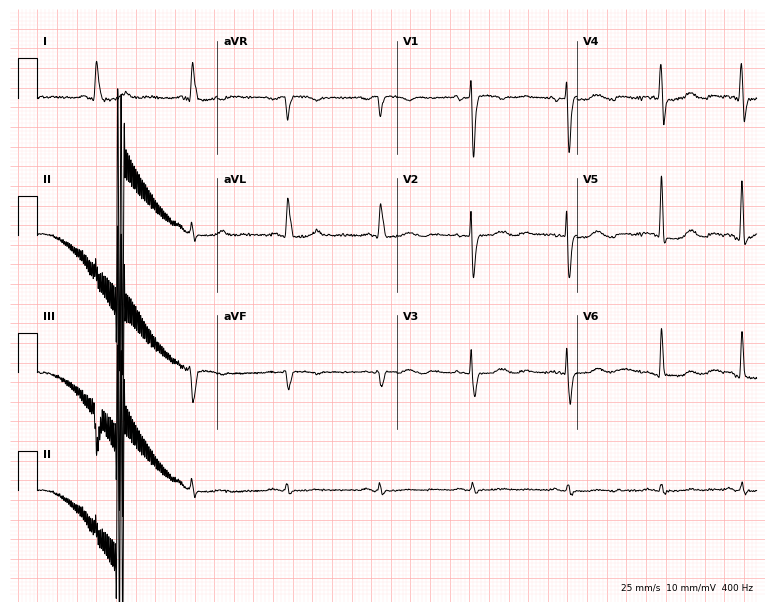
ECG (7.3-second recording at 400 Hz) — an 83-year-old woman. Screened for six findings — first-degree AV block, right bundle branch block (RBBB), left bundle branch block (LBBB), sinus bradycardia, atrial fibrillation (AF), sinus tachycardia — none is recorded. Other findings, if any, are not listed.